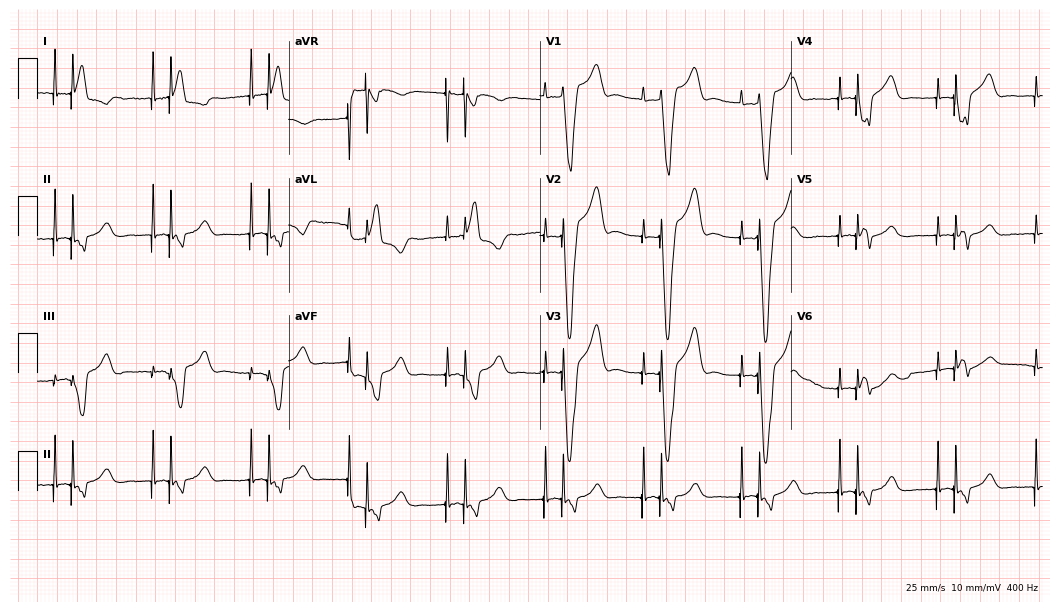
Resting 12-lead electrocardiogram (10.2-second recording at 400 Hz). Patient: an 80-year-old female. None of these six findings is recorded: first-degree AV block, right bundle branch block, left bundle branch block, sinus bradycardia, atrial fibrillation, sinus tachycardia.